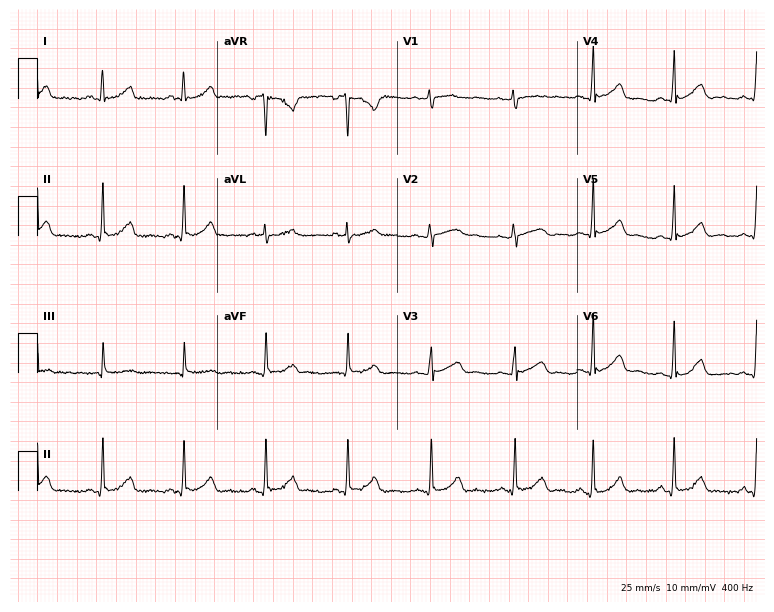
ECG — a female patient, 37 years old. Labelled as a normal ECG.